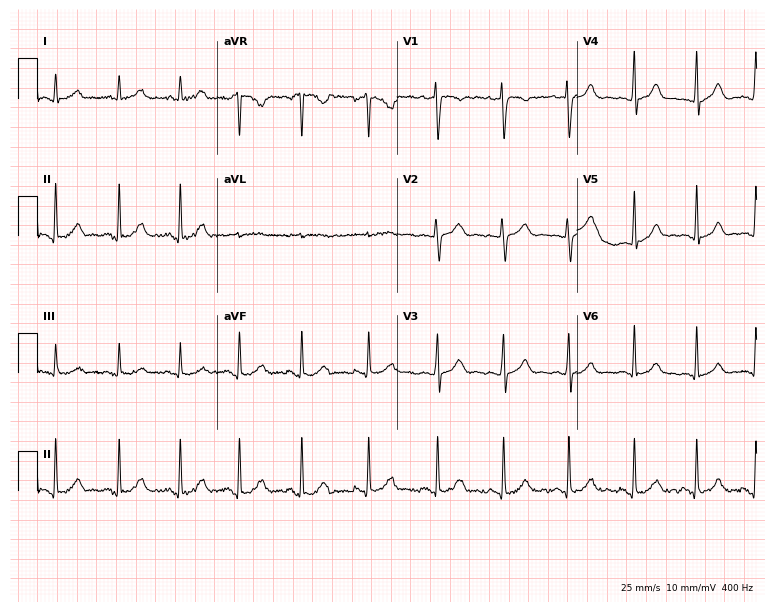
Electrocardiogram, a woman, 25 years old. Of the six screened findings (first-degree AV block, right bundle branch block, left bundle branch block, sinus bradycardia, atrial fibrillation, sinus tachycardia), none is recorded.